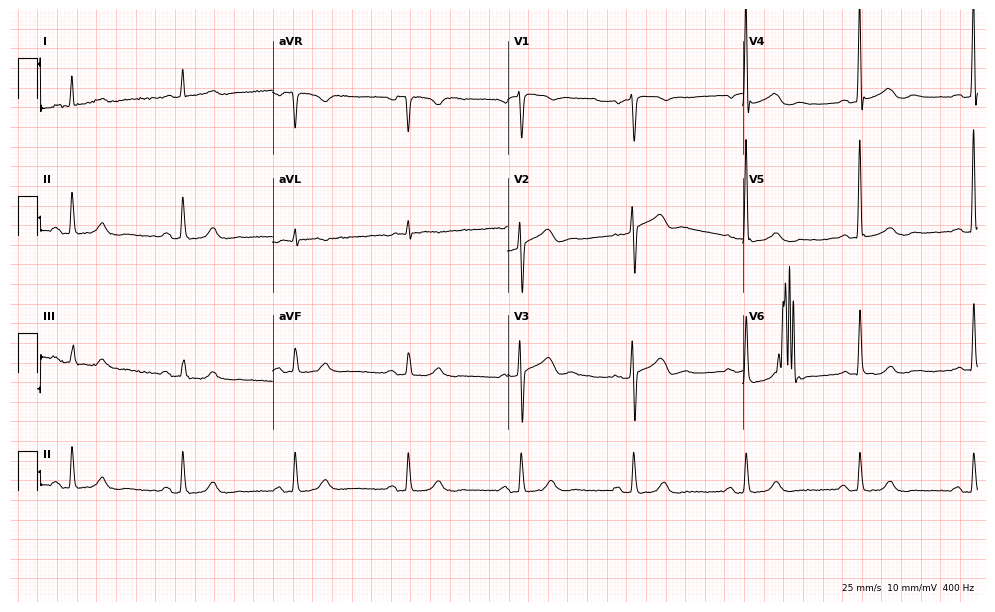
Electrocardiogram, a man, 85 years old. Overall reading on record: normal ECG.